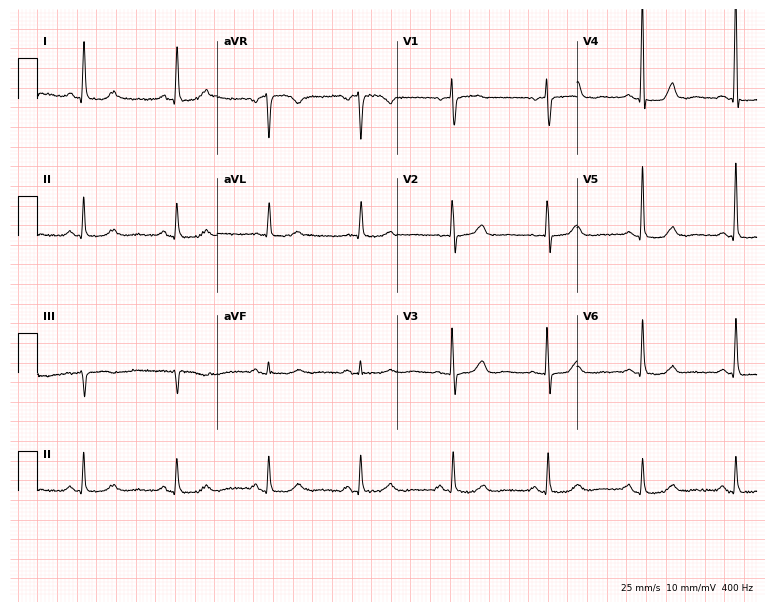
Electrocardiogram (7.3-second recording at 400 Hz), a 73-year-old woman. Of the six screened findings (first-degree AV block, right bundle branch block, left bundle branch block, sinus bradycardia, atrial fibrillation, sinus tachycardia), none is recorded. Other findings, if any, are not listed.